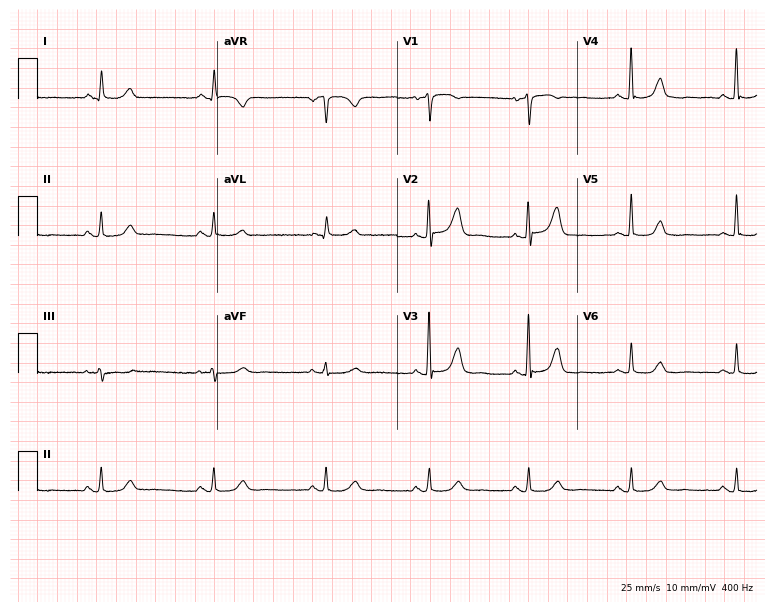
Resting 12-lead electrocardiogram (7.3-second recording at 400 Hz). Patient: a female, 72 years old. None of these six findings is recorded: first-degree AV block, right bundle branch block, left bundle branch block, sinus bradycardia, atrial fibrillation, sinus tachycardia.